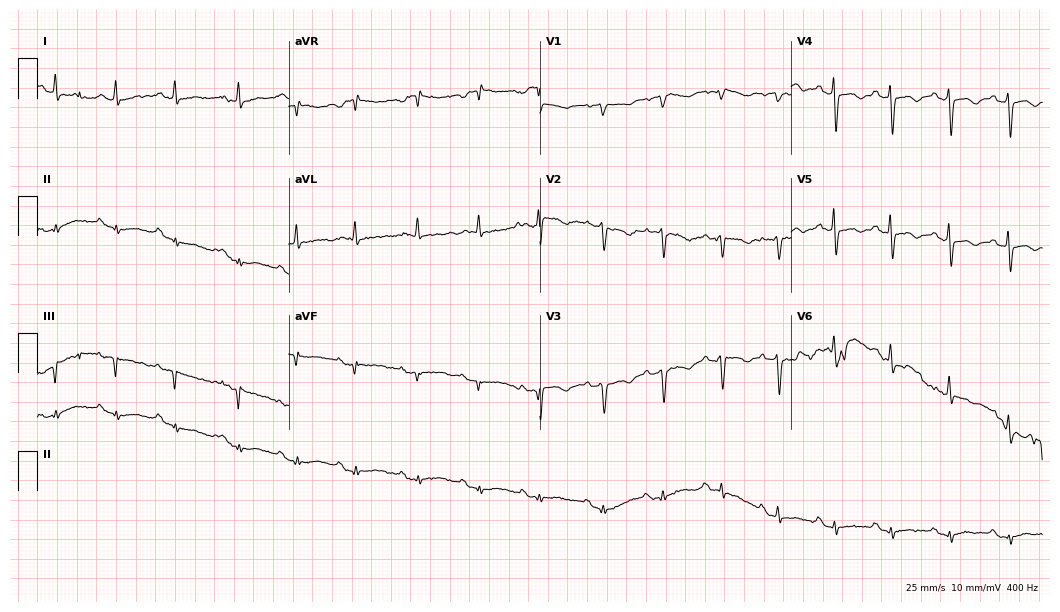
Resting 12-lead electrocardiogram (10.2-second recording at 400 Hz). Patient: a 73-year-old female. None of these six findings is recorded: first-degree AV block, right bundle branch block, left bundle branch block, sinus bradycardia, atrial fibrillation, sinus tachycardia.